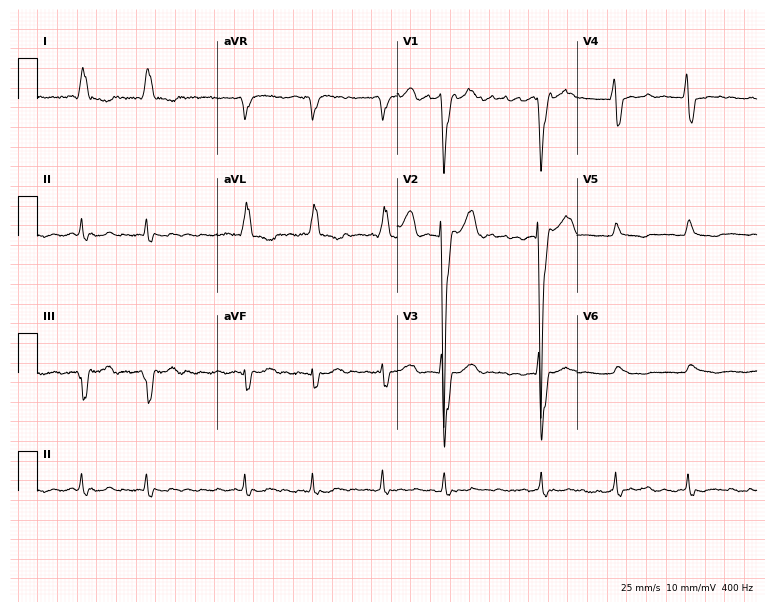
12-lead ECG (7.3-second recording at 400 Hz) from an 85-year-old female patient. Findings include left bundle branch block, atrial fibrillation.